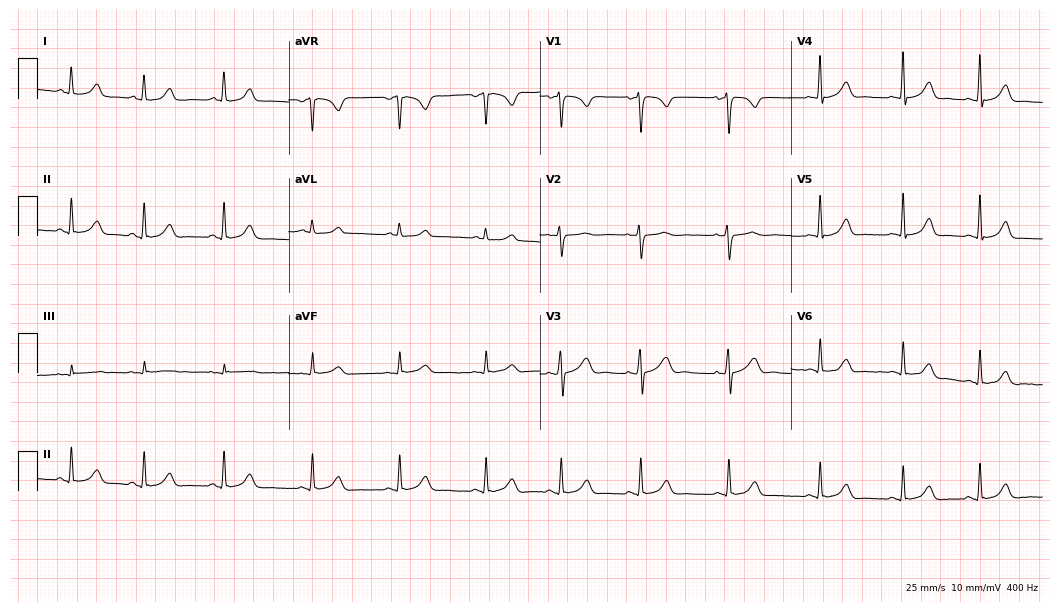
Electrocardiogram, a 22-year-old woman. Of the six screened findings (first-degree AV block, right bundle branch block (RBBB), left bundle branch block (LBBB), sinus bradycardia, atrial fibrillation (AF), sinus tachycardia), none is recorded. Findings outside these six are not listed.